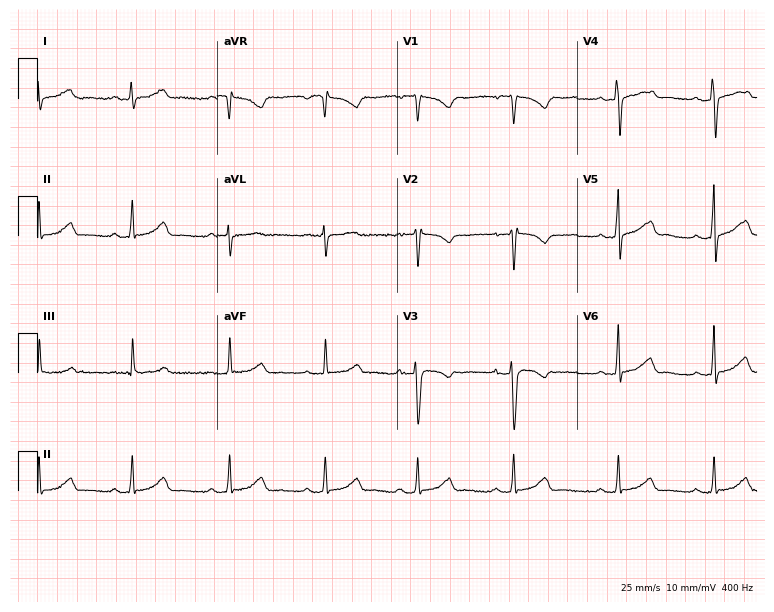
Electrocardiogram, a woman, 23 years old. Of the six screened findings (first-degree AV block, right bundle branch block (RBBB), left bundle branch block (LBBB), sinus bradycardia, atrial fibrillation (AF), sinus tachycardia), none is recorded. Only these six findings were labelled.